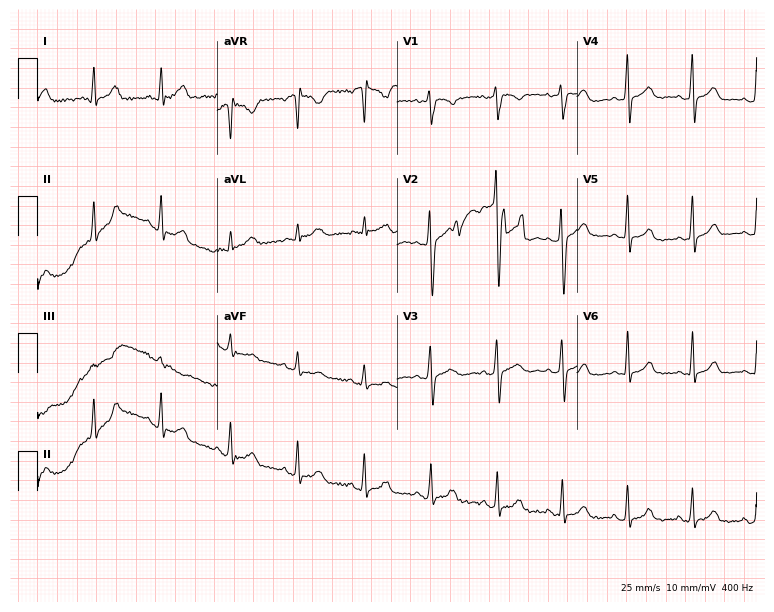
12-lead ECG (7.3-second recording at 400 Hz) from a woman, 41 years old. Screened for six findings — first-degree AV block, right bundle branch block, left bundle branch block, sinus bradycardia, atrial fibrillation, sinus tachycardia — none is recorded.